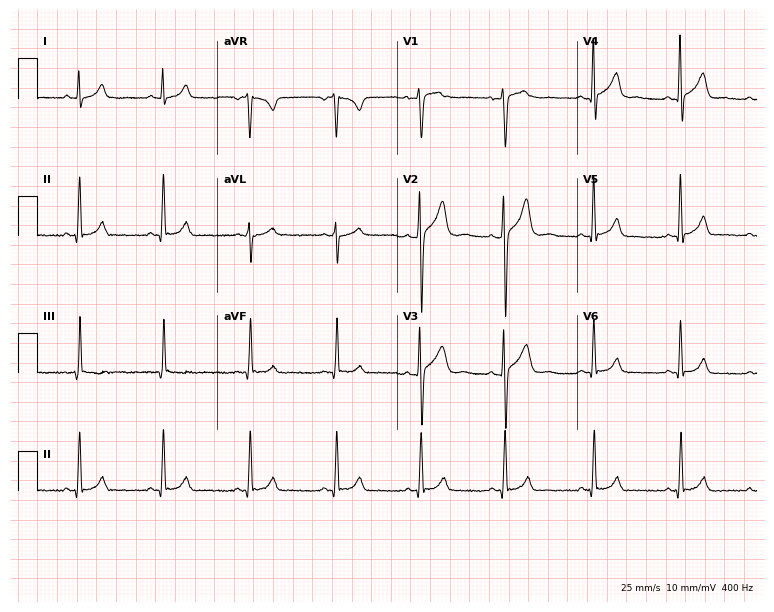
12-lead ECG (7.3-second recording at 400 Hz) from a male patient, 39 years old. Labelled as a normal ECG.